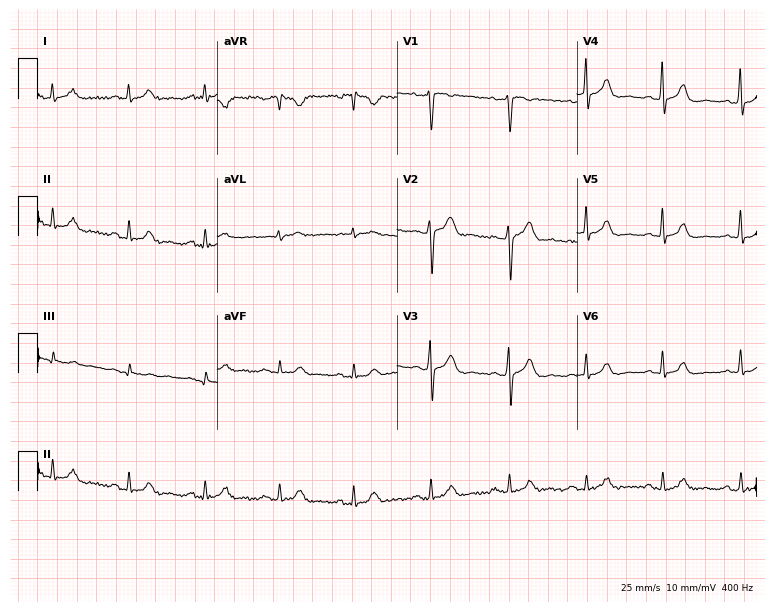
Electrocardiogram, a woman, 39 years old. Of the six screened findings (first-degree AV block, right bundle branch block (RBBB), left bundle branch block (LBBB), sinus bradycardia, atrial fibrillation (AF), sinus tachycardia), none is recorded.